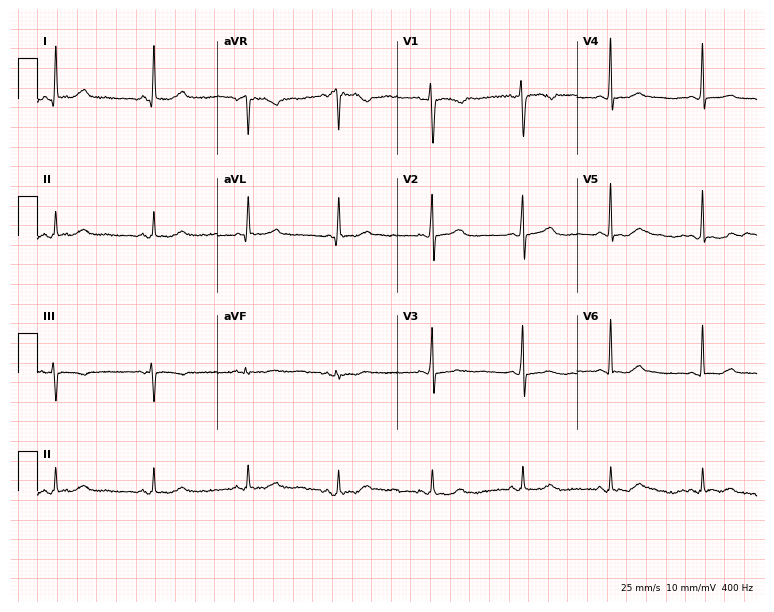
12-lead ECG (7.3-second recording at 400 Hz) from a 44-year-old female patient. Labelled as a normal ECG.